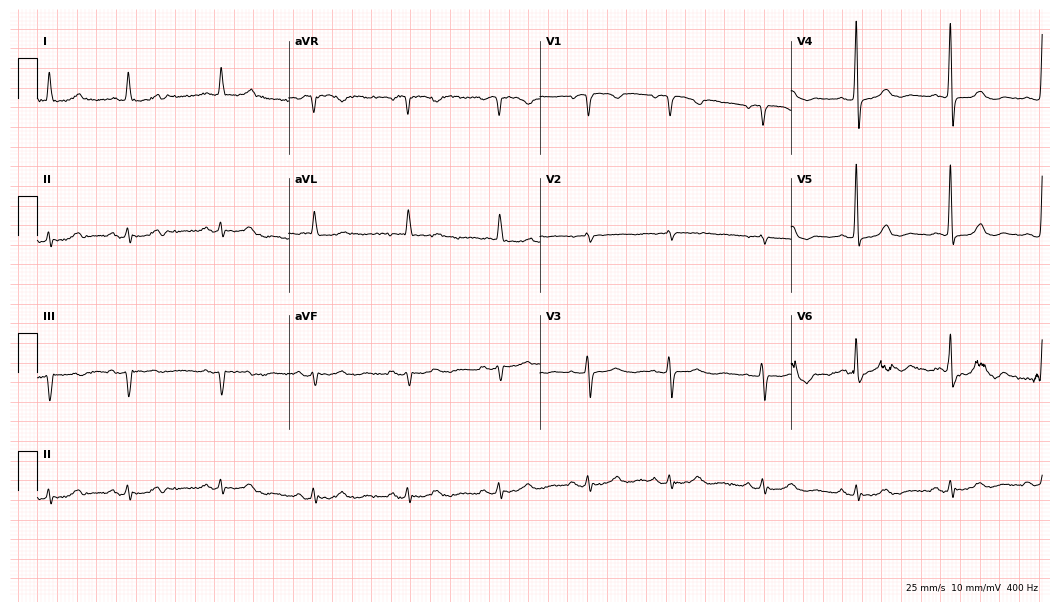
Resting 12-lead electrocardiogram. Patient: a female, 74 years old. None of these six findings is recorded: first-degree AV block, right bundle branch block, left bundle branch block, sinus bradycardia, atrial fibrillation, sinus tachycardia.